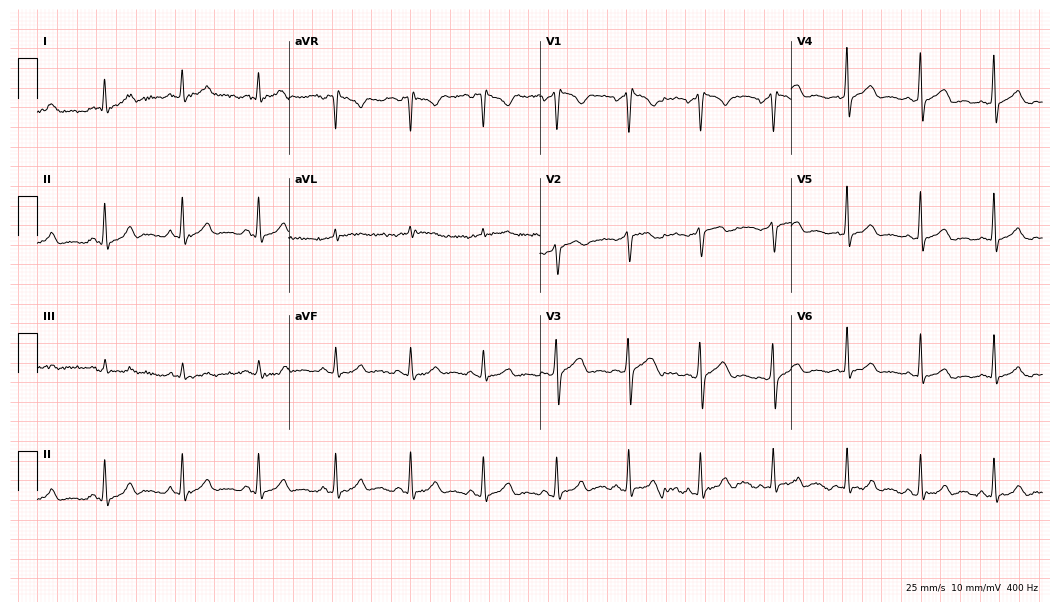
12-lead ECG (10.2-second recording at 400 Hz) from a male patient, 39 years old. Labelled as a normal ECG.